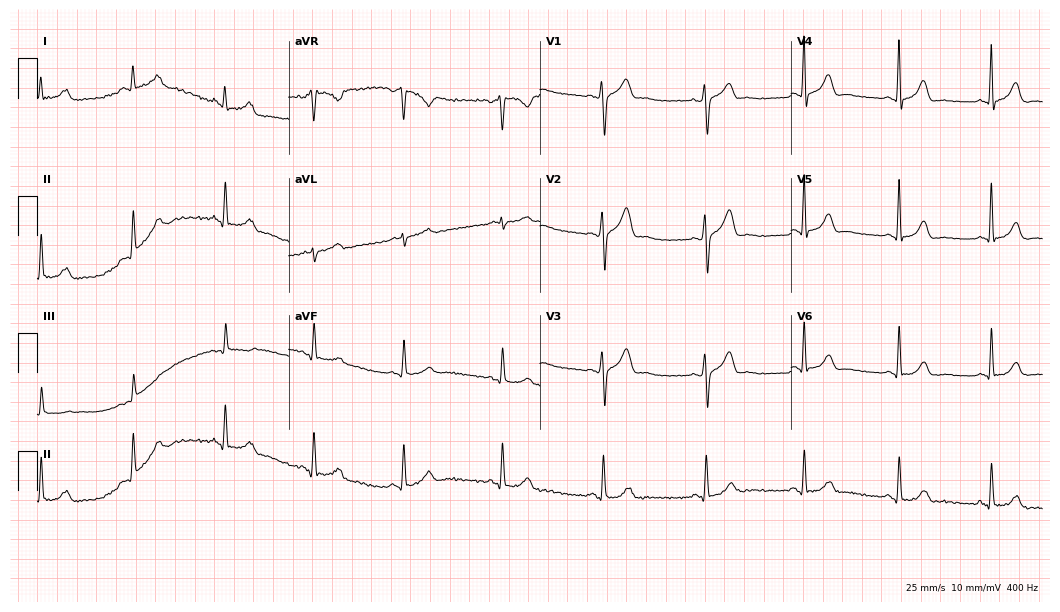
Resting 12-lead electrocardiogram. Patient: a male, 38 years old. Read as a normal ECG.